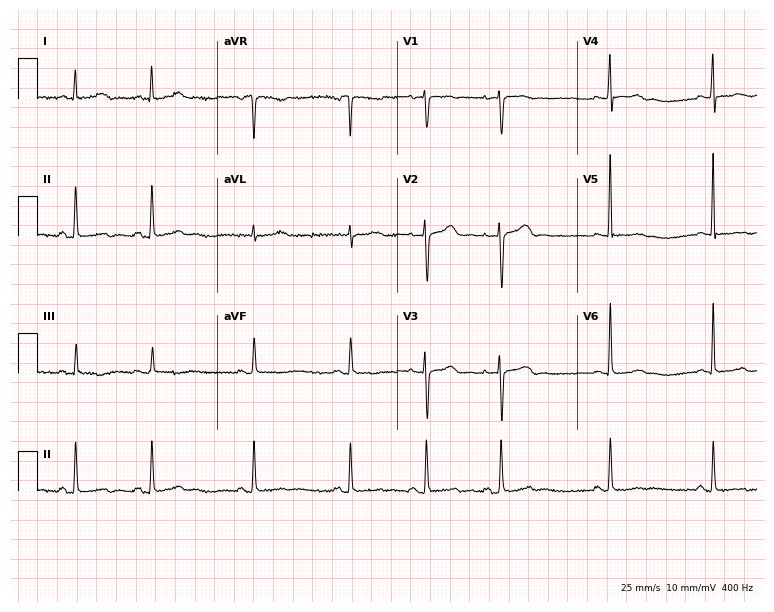
ECG — a 25-year-old woman. Labelled as a normal ECG.